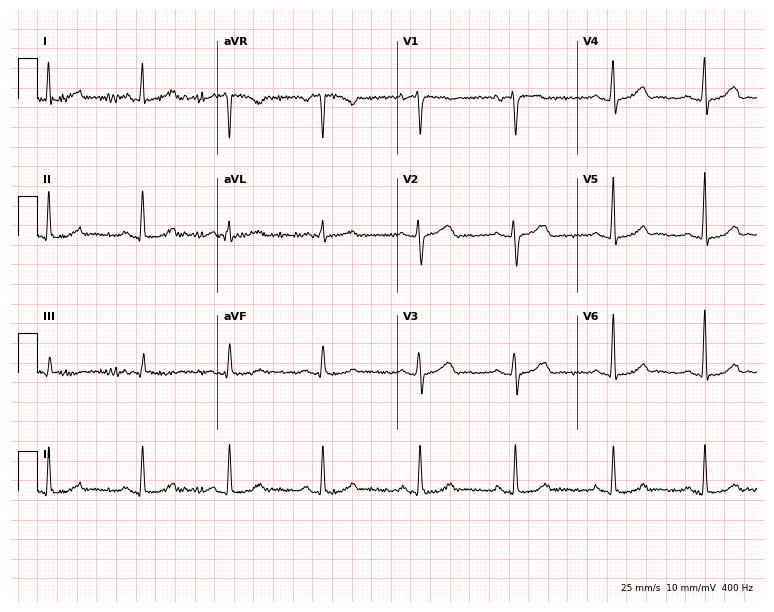
12-lead ECG from a 50-year-old female patient (7.3-second recording at 400 Hz). Recorded interpretation: within normal limits.